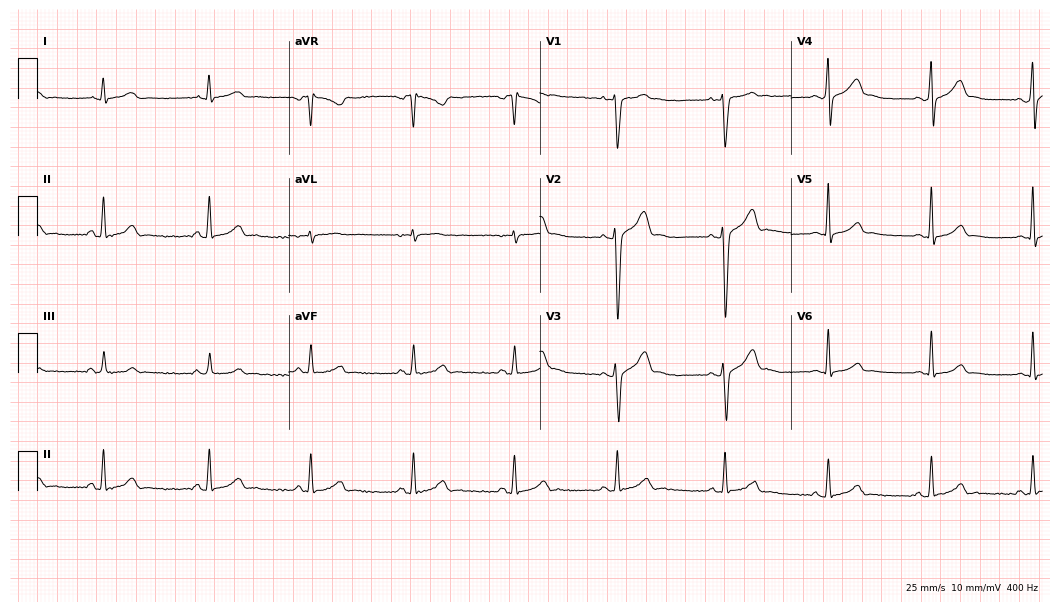
Standard 12-lead ECG recorded from a male patient, 23 years old. Read as a normal ECG.